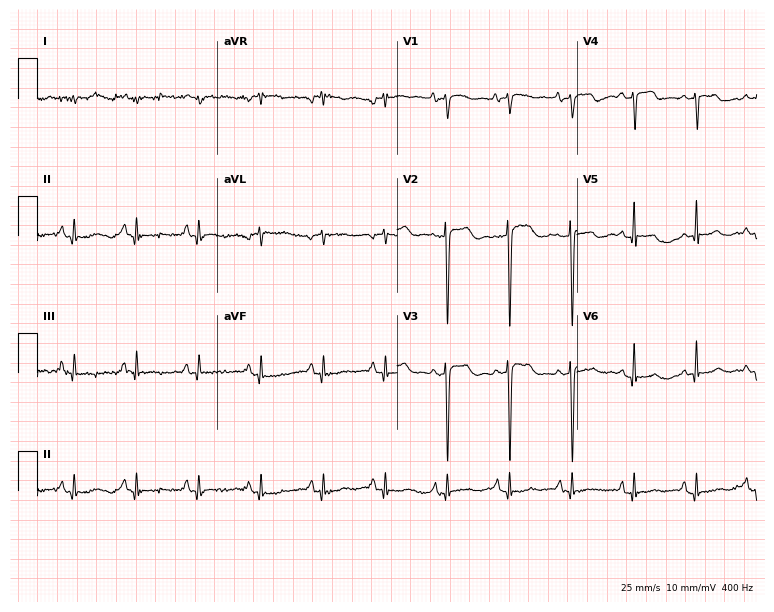
Resting 12-lead electrocardiogram. Patient: a 77-year-old female. None of these six findings is recorded: first-degree AV block, right bundle branch block, left bundle branch block, sinus bradycardia, atrial fibrillation, sinus tachycardia. Only these six findings were labelled.